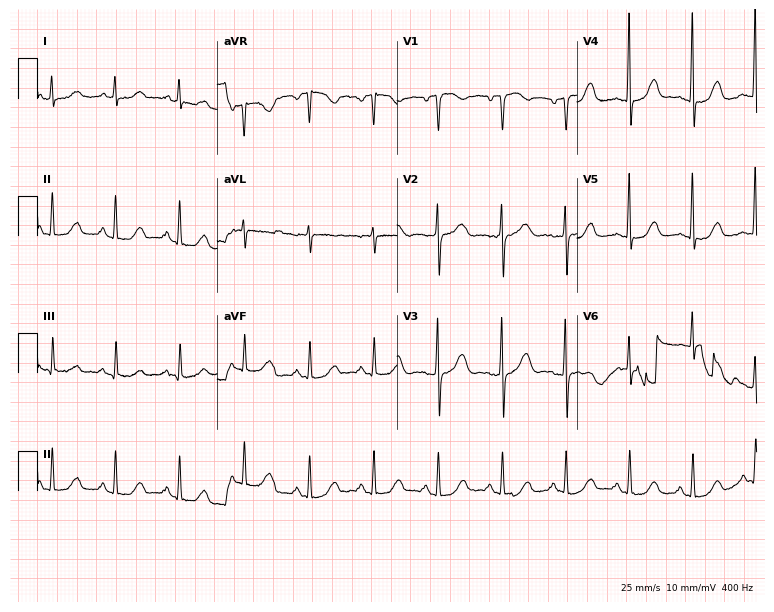
12-lead ECG from a 50-year-old female. Screened for six findings — first-degree AV block, right bundle branch block, left bundle branch block, sinus bradycardia, atrial fibrillation, sinus tachycardia — none is recorded. Findings outside these six are not listed.